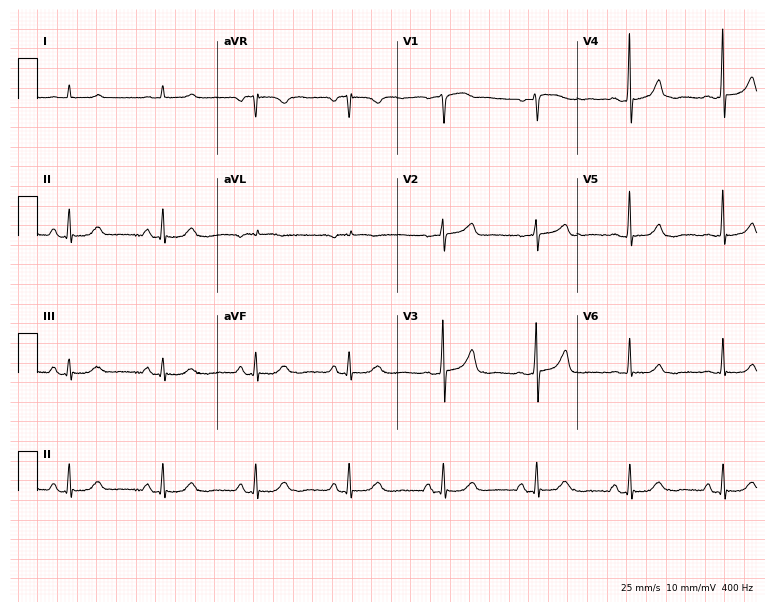
Resting 12-lead electrocardiogram. Patient: an 80-year-old man. Read as a normal ECG.